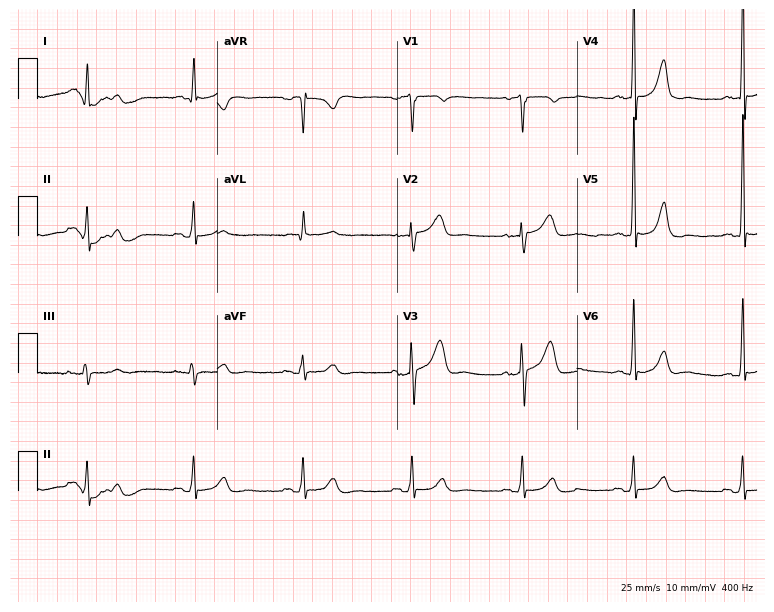
12-lead ECG (7.3-second recording at 400 Hz) from a male patient, 64 years old. Labelled as a normal ECG.